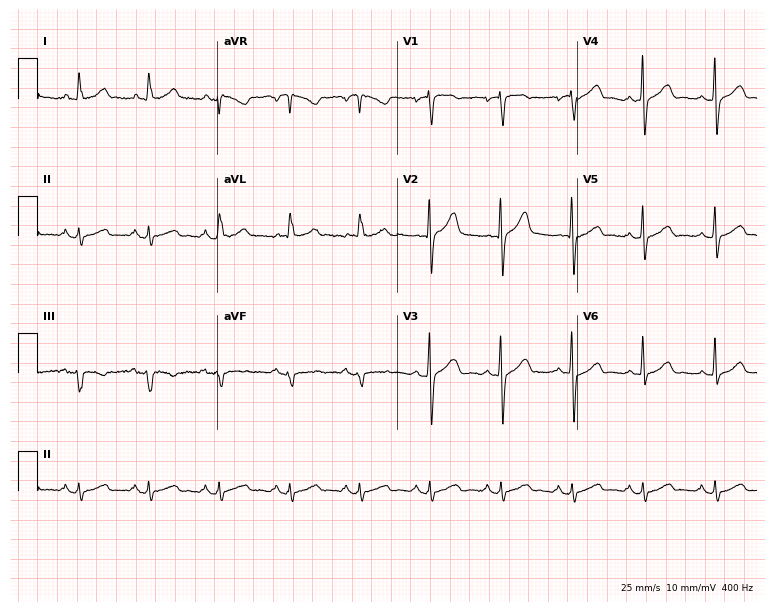
12-lead ECG from a 59-year-old male patient (7.3-second recording at 400 Hz). Recorded interpretation: within normal limits.